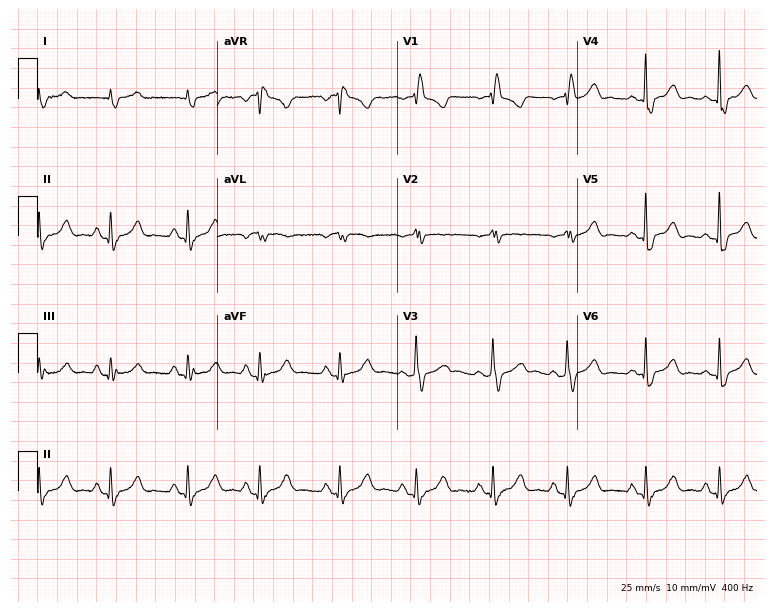
ECG (7.3-second recording at 400 Hz) — an 80-year-old male. Findings include right bundle branch block.